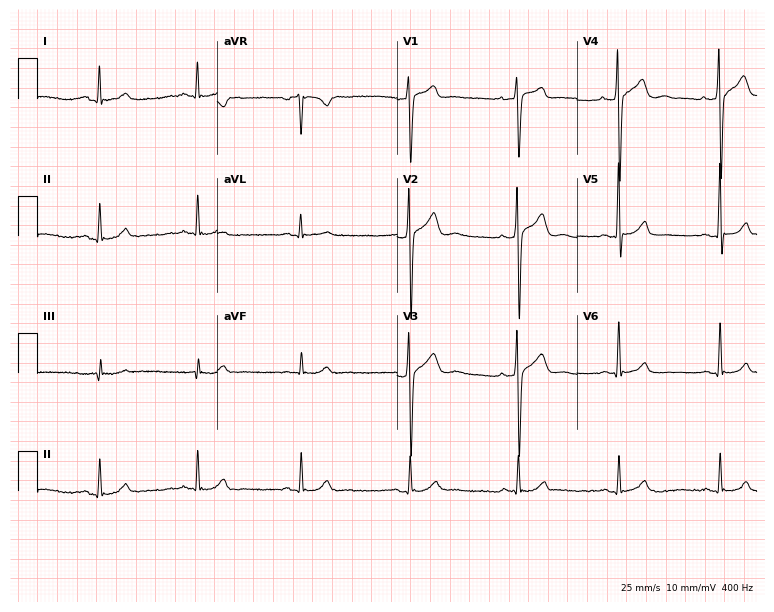
12-lead ECG from a male patient, 25 years old. Labelled as a normal ECG.